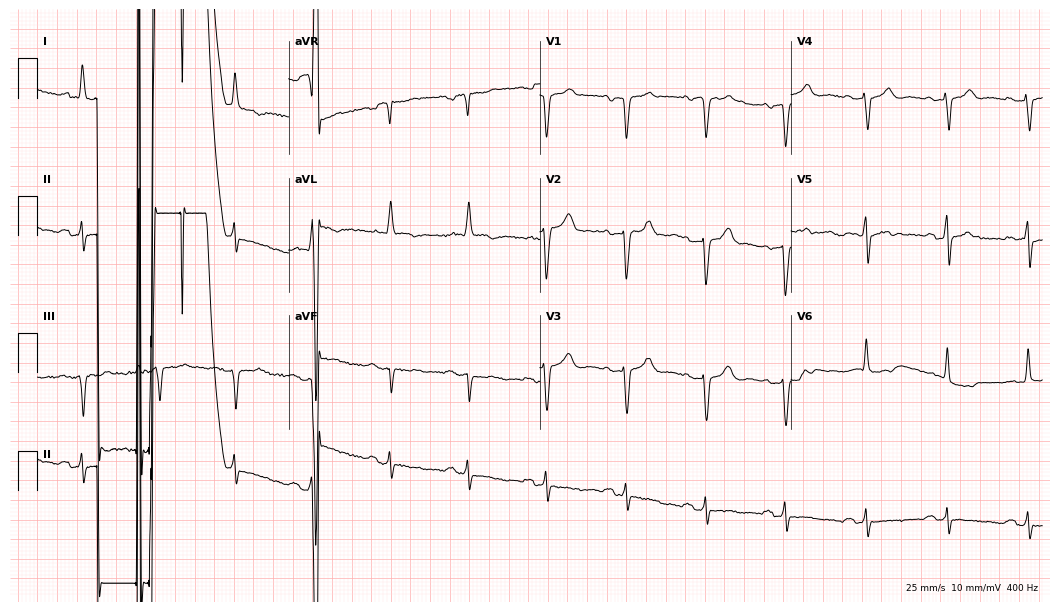
Resting 12-lead electrocardiogram. Patient: a male, 79 years old. None of these six findings is recorded: first-degree AV block, right bundle branch block, left bundle branch block, sinus bradycardia, atrial fibrillation, sinus tachycardia.